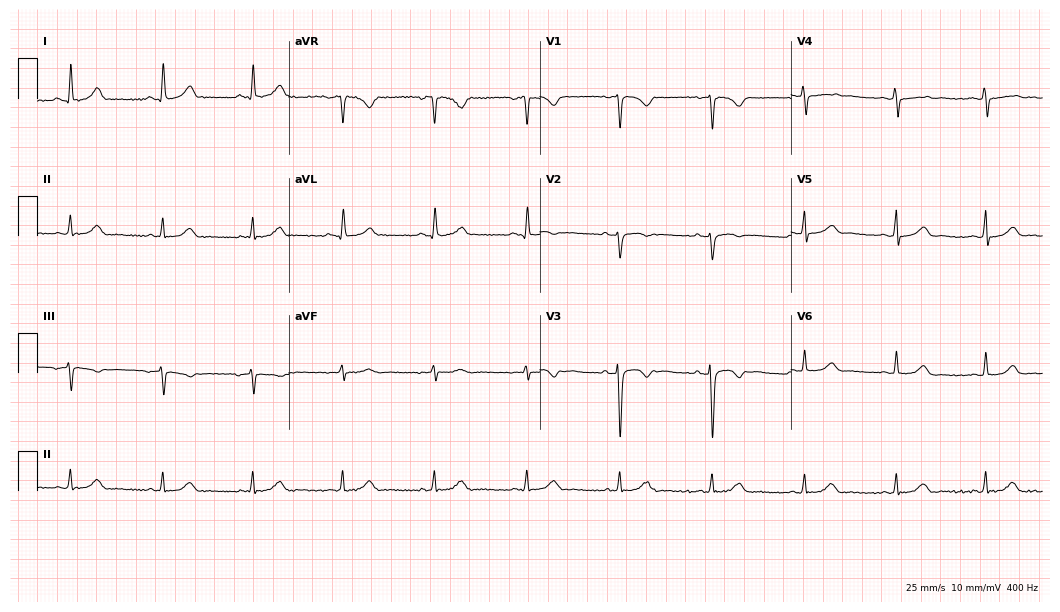
ECG — a female patient, 42 years old. Screened for six findings — first-degree AV block, right bundle branch block, left bundle branch block, sinus bradycardia, atrial fibrillation, sinus tachycardia — none is recorded. Only these six findings were labelled.